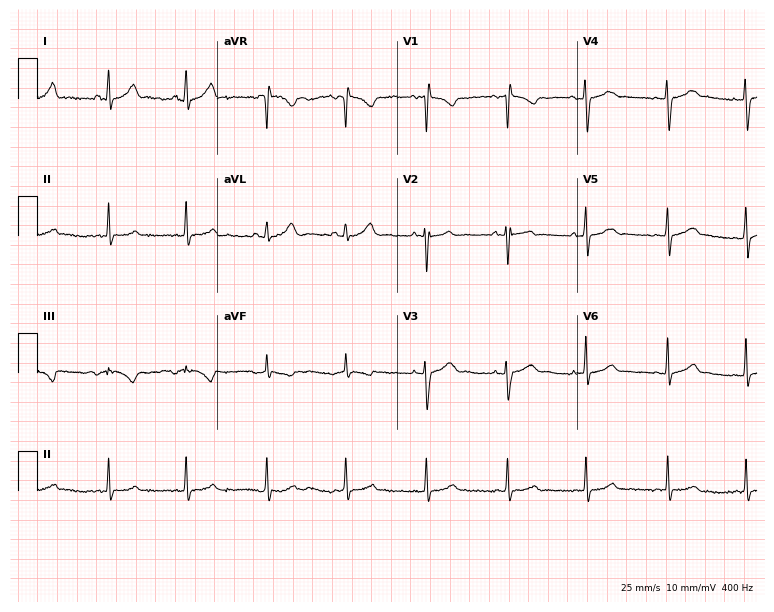
Standard 12-lead ECG recorded from a 27-year-old woman. None of these six findings is recorded: first-degree AV block, right bundle branch block, left bundle branch block, sinus bradycardia, atrial fibrillation, sinus tachycardia. Findings outside these six are not listed.